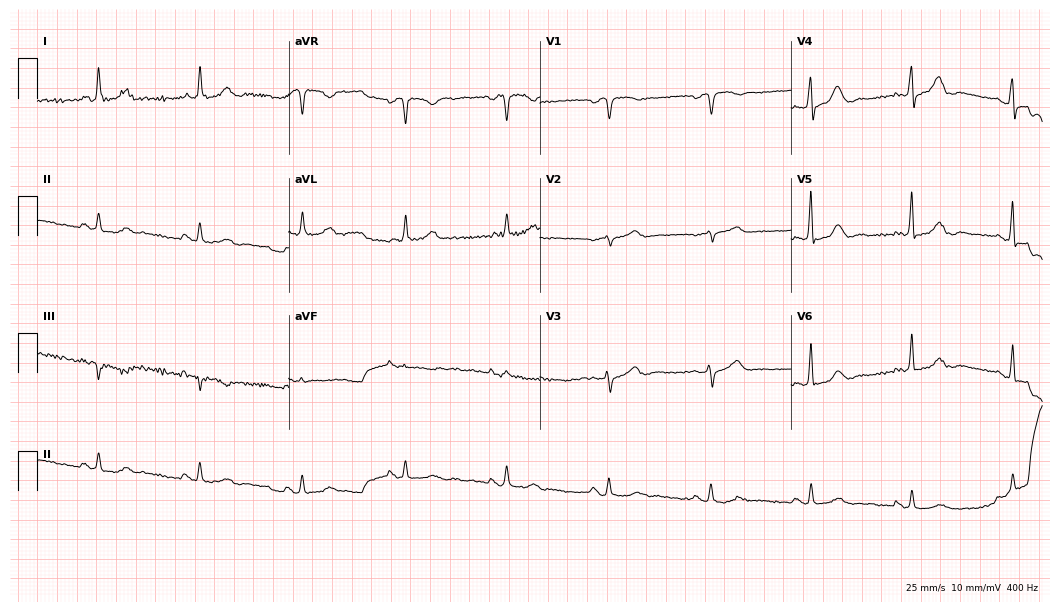
12-lead ECG from a woman, 75 years old (10.2-second recording at 400 Hz). No first-degree AV block, right bundle branch block, left bundle branch block, sinus bradycardia, atrial fibrillation or sinus tachycardia recorded for this tracing. Other findings, if any, are not listed.